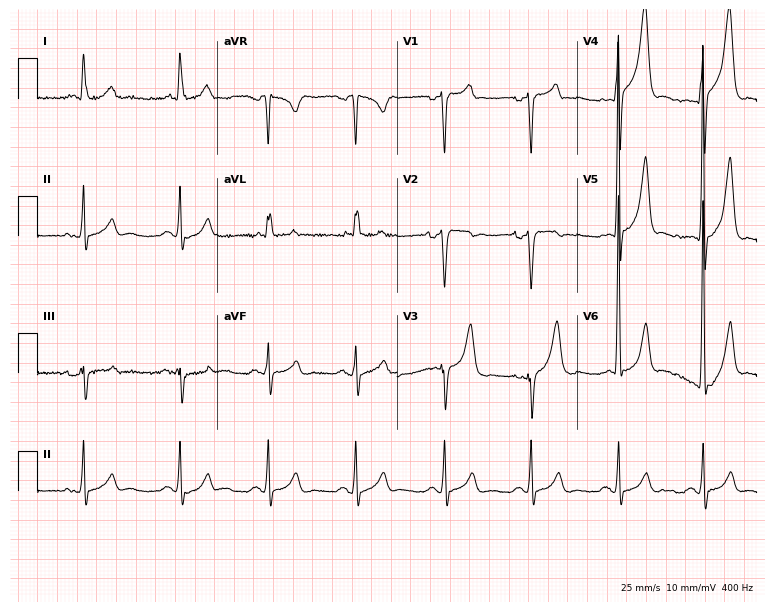
12-lead ECG from a 47-year-old man (7.3-second recording at 400 Hz). No first-degree AV block, right bundle branch block, left bundle branch block, sinus bradycardia, atrial fibrillation or sinus tachycardia recorded for this tracing.